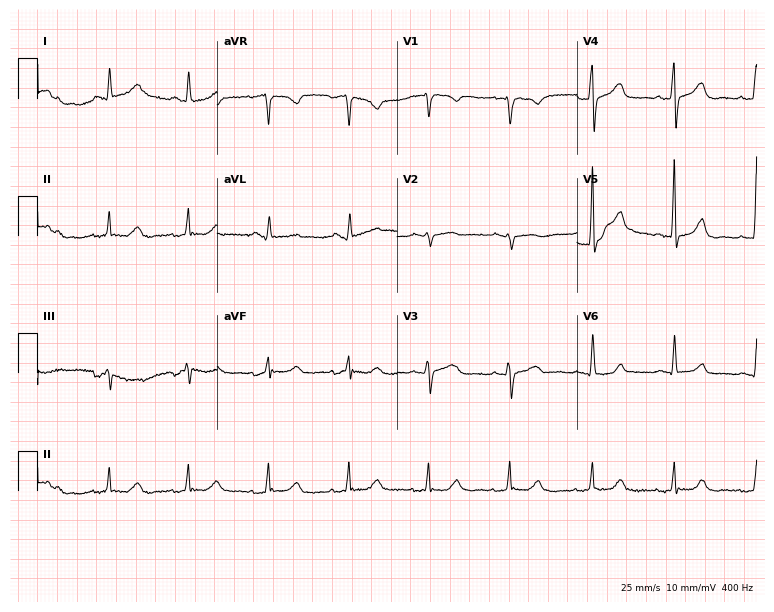
ECG — a 79-year-old female patient. Screened for six findings — first-degree AV block, right bundle branch block, left bundle branch block, sinus bradycardia, atrial fibrillation, sinus tachycardia — none is recorded. Only these six findings were labelled.